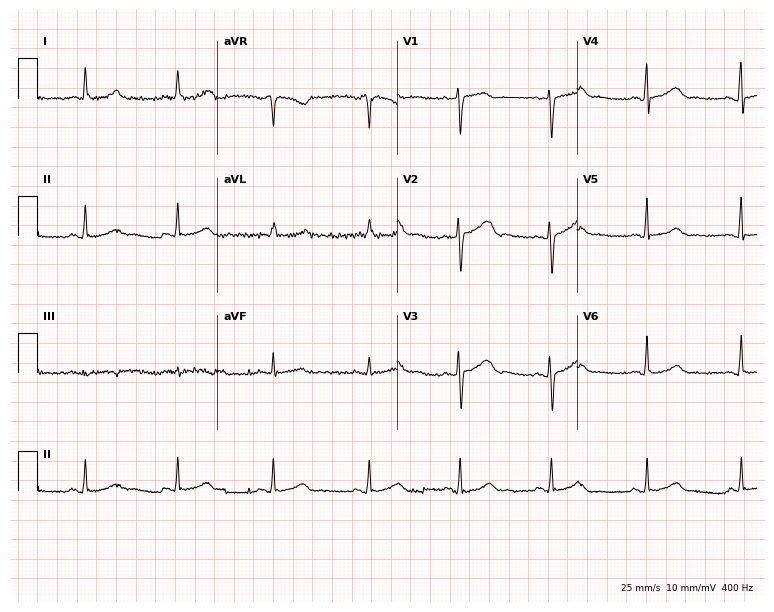
Standard 12-lead ECG recorded from a 60-year-old female patient. Read as a normal ECG.